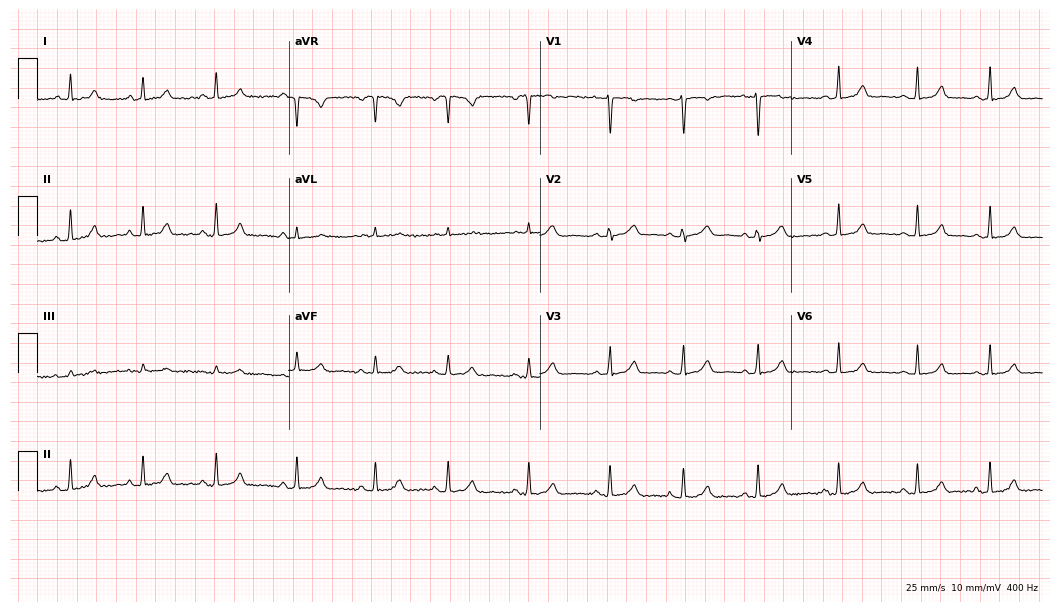
ECG — a female patient, 30 years old. Labelled as a normal ECG.